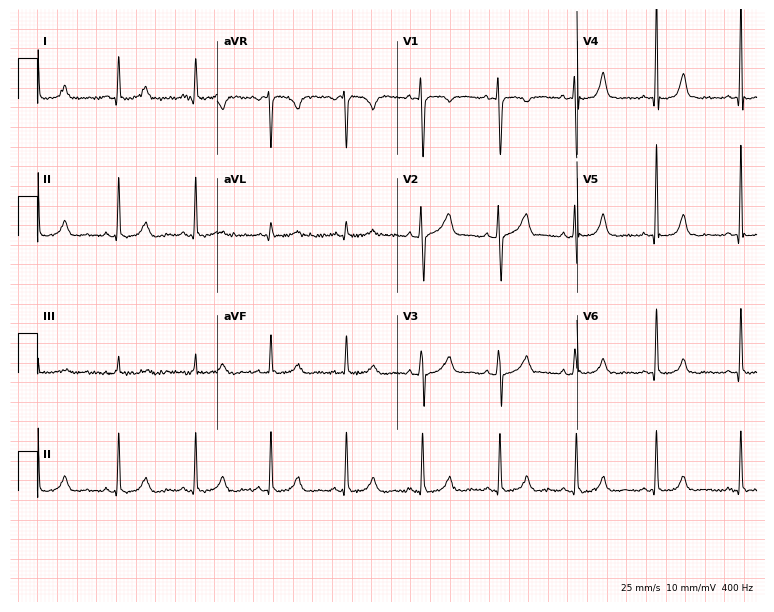
Electrocardiogram, a female, 29 years old. Of the six screened findings (first-degree AV block, right bundle branch block, left bundle branch block, sinus bradycardia, atrial fibrillation, sinus tachycardia), none is recorded.